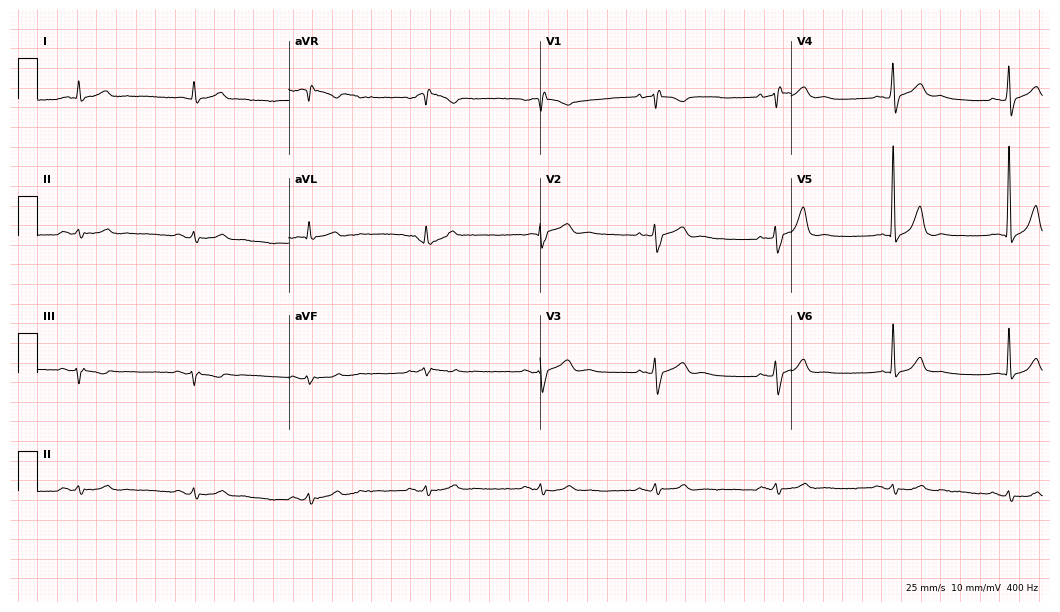
12-lead ECG from an 81-year-old man. Screened for six findings — first-degree AV block, right bundle branch block, left bundle branch block, sinus bradycardia, atrial fibrillation, sinus tachycardia — none is recorded.